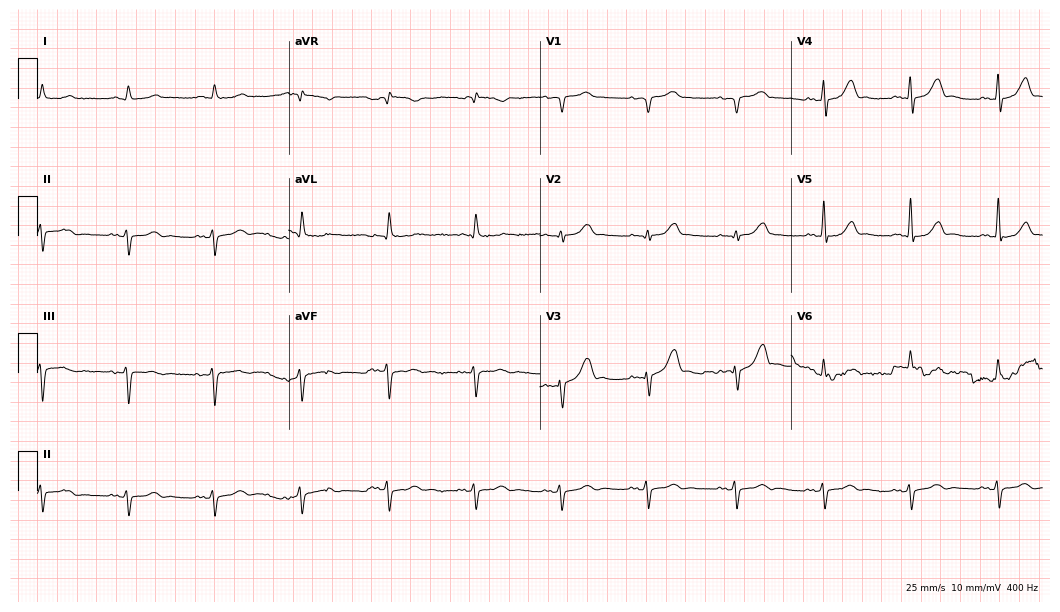
12-lead ECG from a male, 73 years old (10.2-second recording at 400 Hz). No first-degree AV block, right bundle branch block (RBBB), left bundle branch block (LBBB), sinus bradycardia, atrial fibrillation (AF) or sinus tachycardia recorded for this tracing.